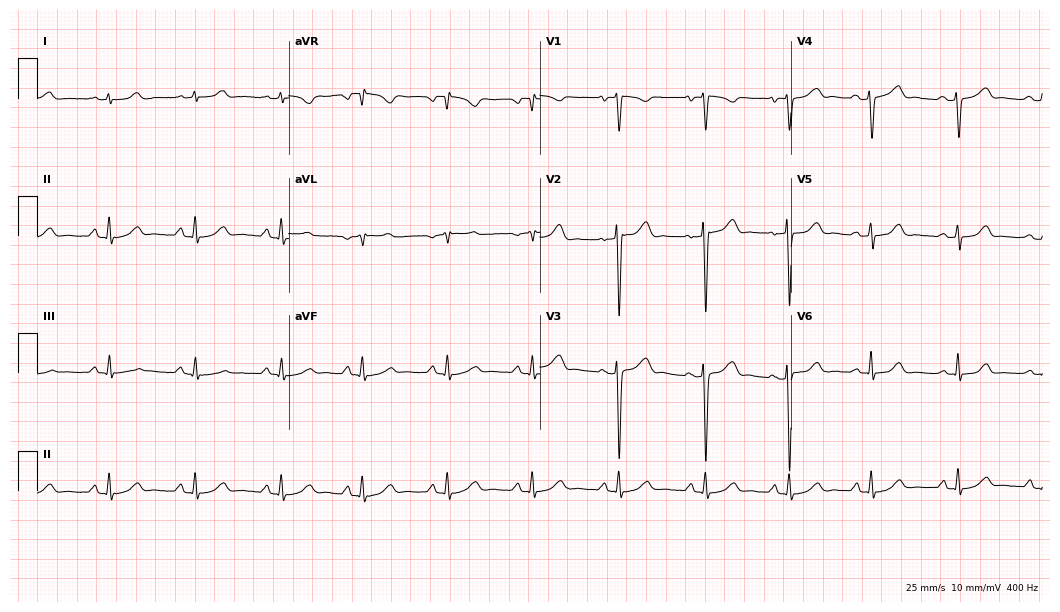
ECG (10.2-second recording at 400 Hz) — a 46-year-old female. Screened for six findings — first-degree AV block, right bundle branch block (RBBB), left bundle branch block (LBBB), sinus bradycardia, atrial fibrillation (AF), sinus tachycardia — none is recorded. Only these six findings were labelled.